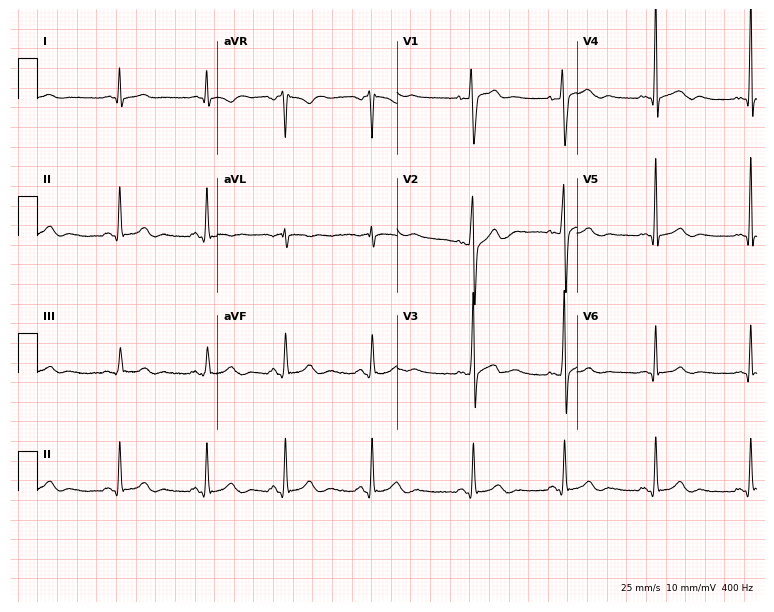
12-lead ECG from a 24-year-old male patient (7.3-second recording at 400 Hz). No first-degree AV block, right bundle branch block, left bundle branch block, sinus bradycardia, atrial fibrillation or sinus tachycardia recorded for this tracing. Only these six findings were labelled.